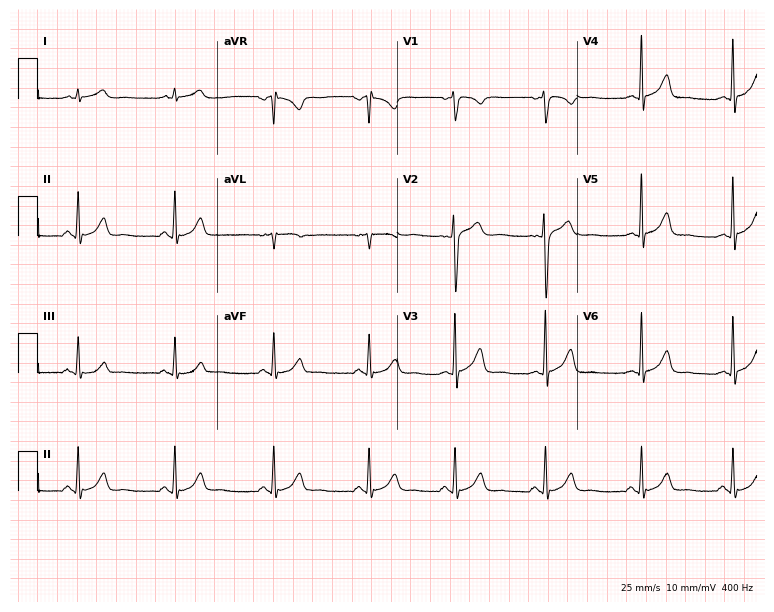
12-lead ECG (7.3-second recording at 400 Hz) from a male patient, 22 years old. Labelled as a normal ECG.